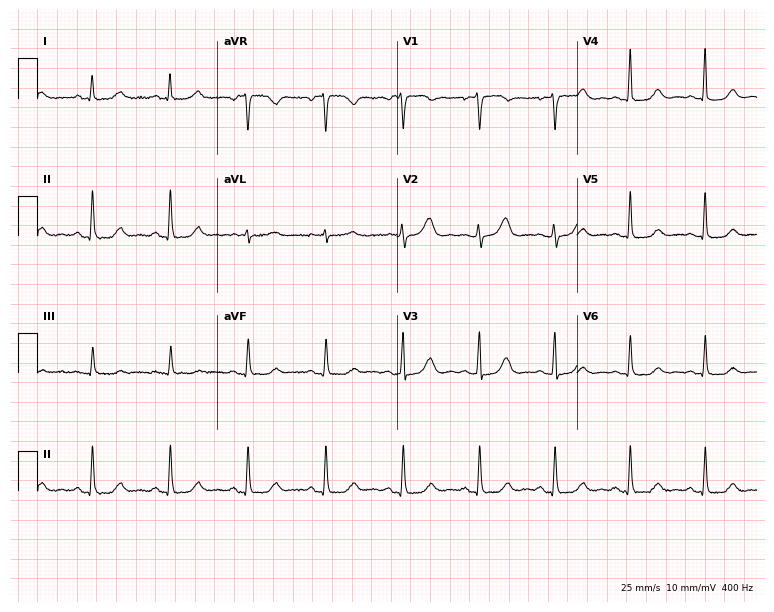
12-lead ECG (7.3-second recording at 400 Hz) from a woman, 56 years old. Labelled as a normal ECG.